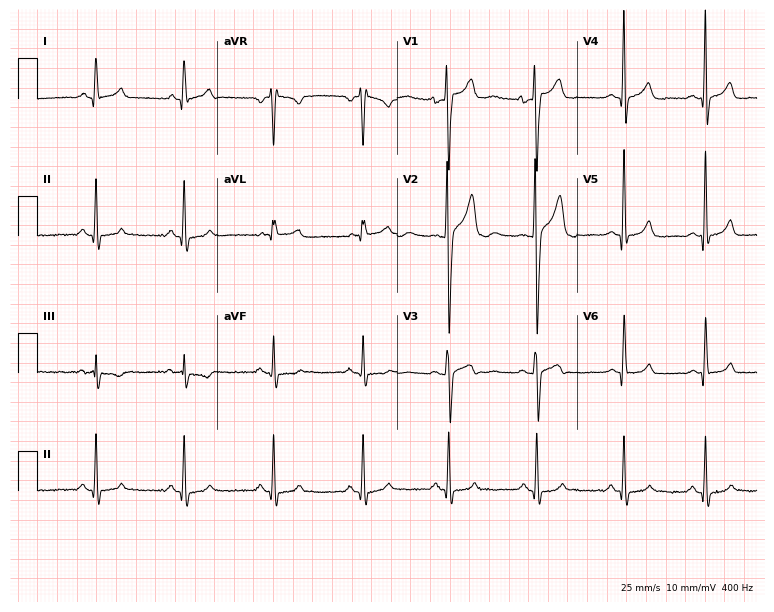
12-lead ECG (7.3-second recording at 400 Hz) from a male patient, 18 years old. Labelled as a normal ECG.